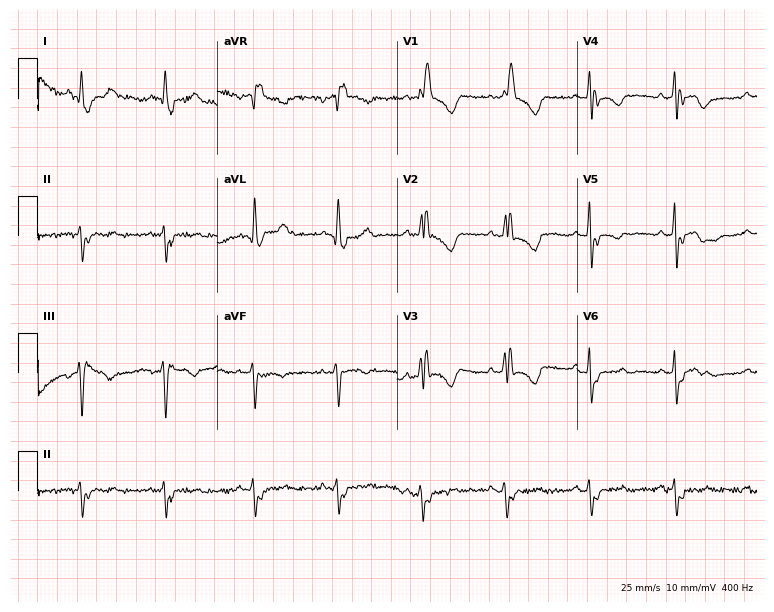
Electrocardiogram, a 51-year-old male. Interpretation includes right bundle branch block.